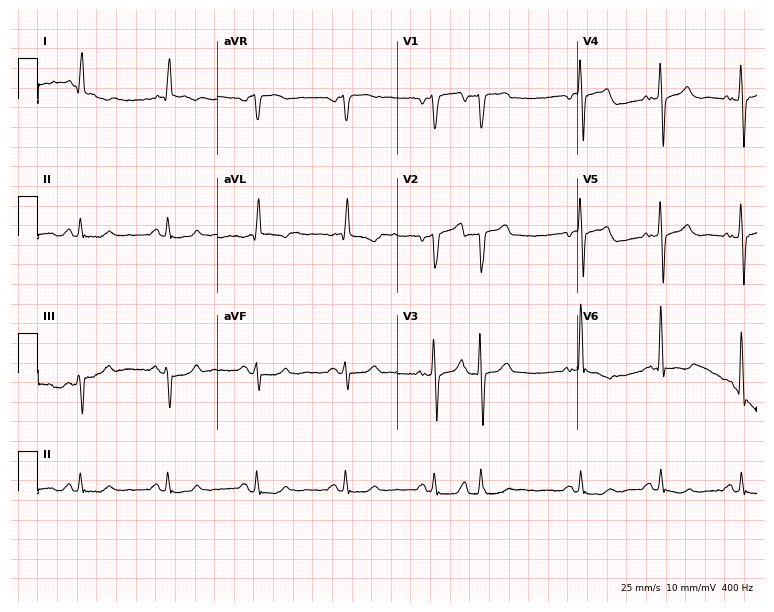
Standard 12-lead ECG recorded from a male patient, 85 years old (7.3-second recording at 400 Hz). None of these six findings is recorded: first-degree AV block, right bundle branch block (RBBB), left bundle branch block (LBBB), sinus bradycardia, atrial fibrillation (AF), sinus tachycardia. Findings outside these six are not listed.